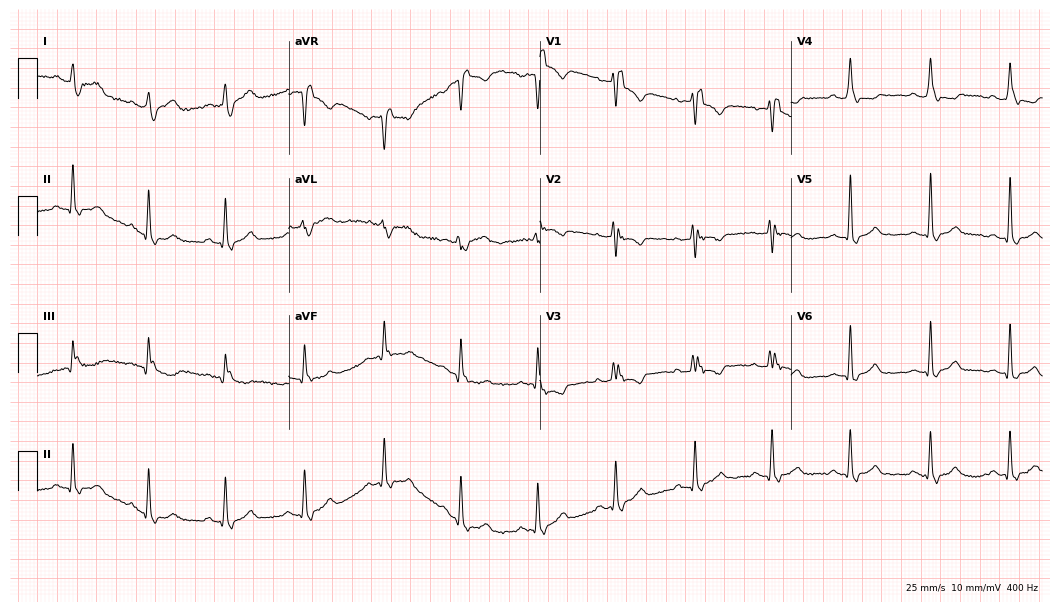
ECG — a 50-year-old female patient. Findings include right bundle branch block (RBBB).